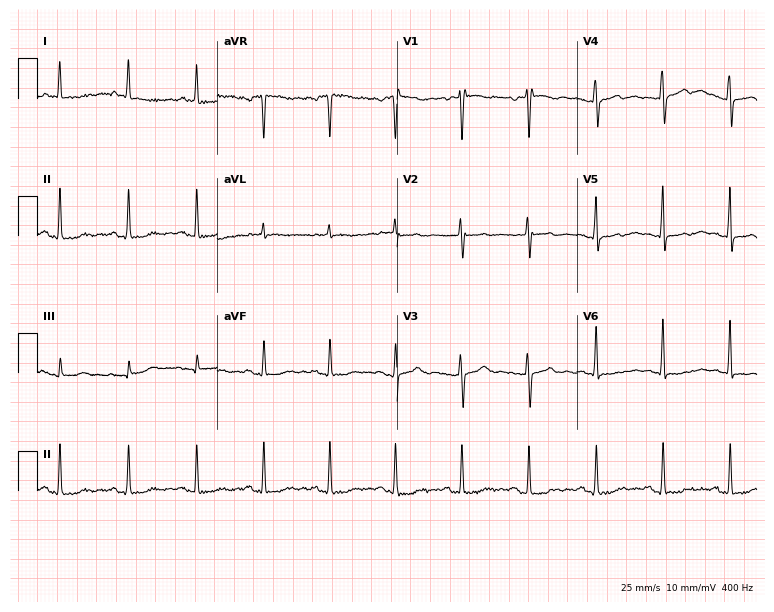
ECG (7.3-second recording at 400 Hz) — a woman, 52 years old. Screened for six findings — first-degree AV block, right bundle branch block (RBBB), left bundle branch block (LBBB), sinus bradycardia, atrial fibrillation (AF), sinus tachycardia — none is recorded.